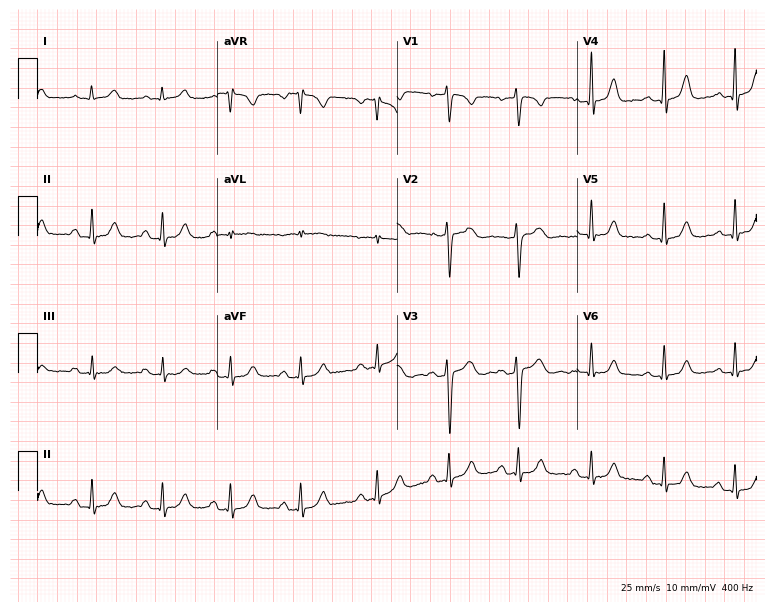
Resting 12-lead electrocardiogram. Patient: a woman, 35 years old. None of these six findings is recorded: first-degree AV block, right bundle branch block (RBBB), left bundle branch block (LBBB), sinus bradycardia, atrial fibrillation (AF), sinus tachycardia. Other findings, if any, are not listed.